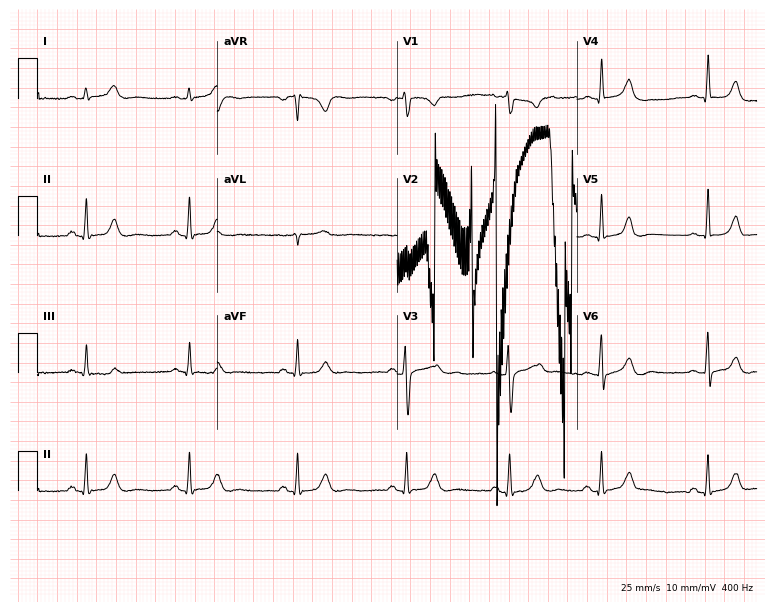
12-lead ECG from a female, 17 years old. No first-degree AV block, right bundle branch block, left bundle branch block, sinus bradycardia, atrial fibrillation or sinus tachycardia recorded for this tracing. Other findings, if any, are not listed.